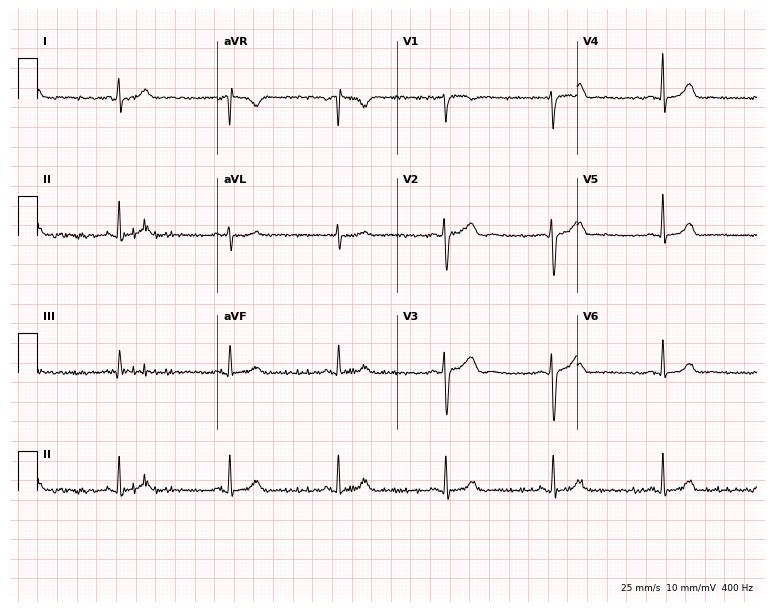
ECG (7.3-second recording at 400 Hz) — a female patient, 17 years old. Screened for six findings — first-degree AV block, right bundle branch block, left bundle branch block, sinus bradycardia, atrial fibrillation, sinus tachycardia — none is recorded. Other findings, if any, are not listed.